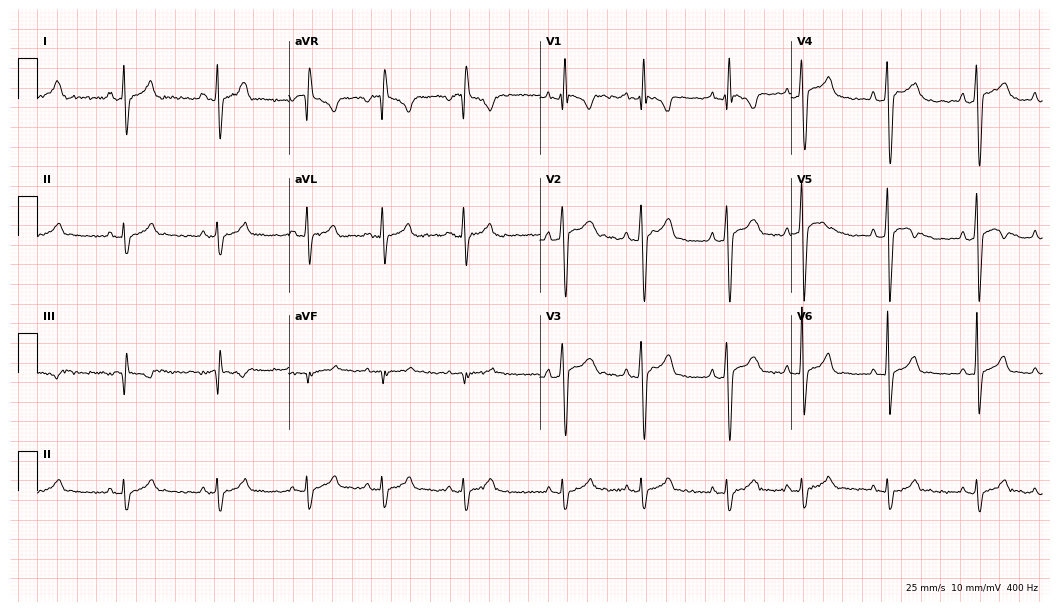
ECG — a 32-year-old male patient. Screened for six findings — first-degree AV block, right bundle branch block, left bundle branch block, sinus bradycardia, atrial fibrillation, sinus tachycardia — none is recorded. Other findings, if any, are not listed.